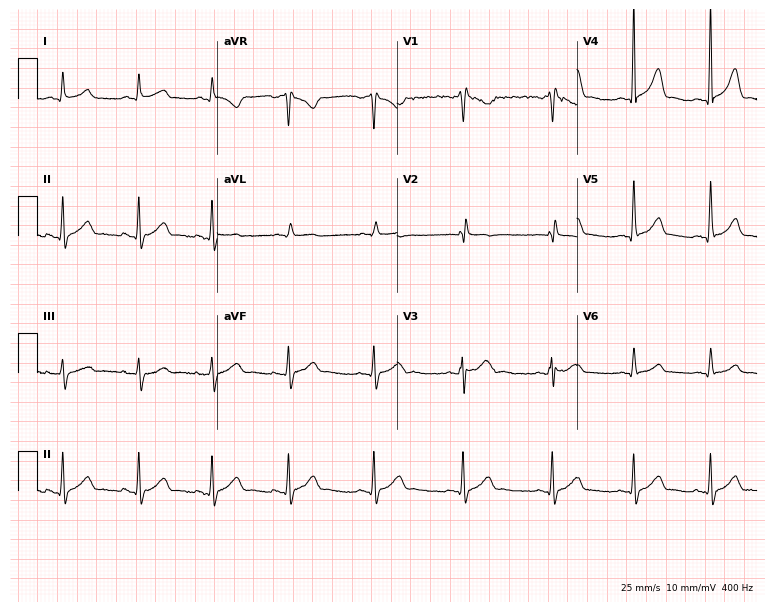
Standard 12-lead ECG recorded from a male, 27 years old. None of these six findings is recorded: first-degree AV block, right bundle branch block, left bundle branch block, sinus bradycardia, atrial fibrillation, sinus tachycardia. Findings outside these six are not listed.